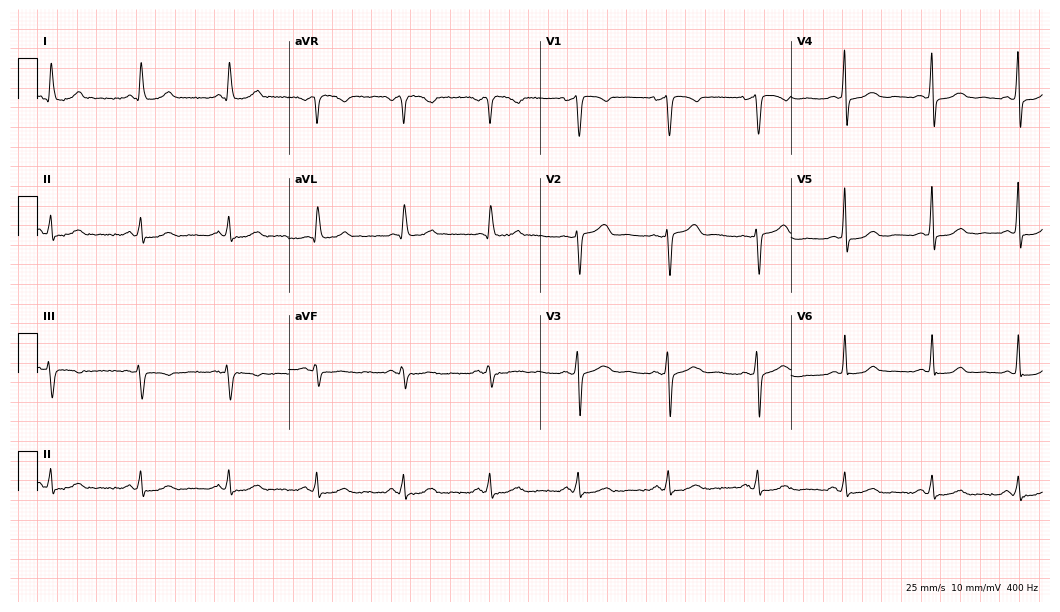
12-lead ECG (10.2-second recording at 400 Hz) from a 52-year-old female. Screened for six findings — first-degree AV block, right bundle branch block, left bundle branch block, sinus bradycardia, atrial fibrillation, sinus tachycardia — none is recorded.